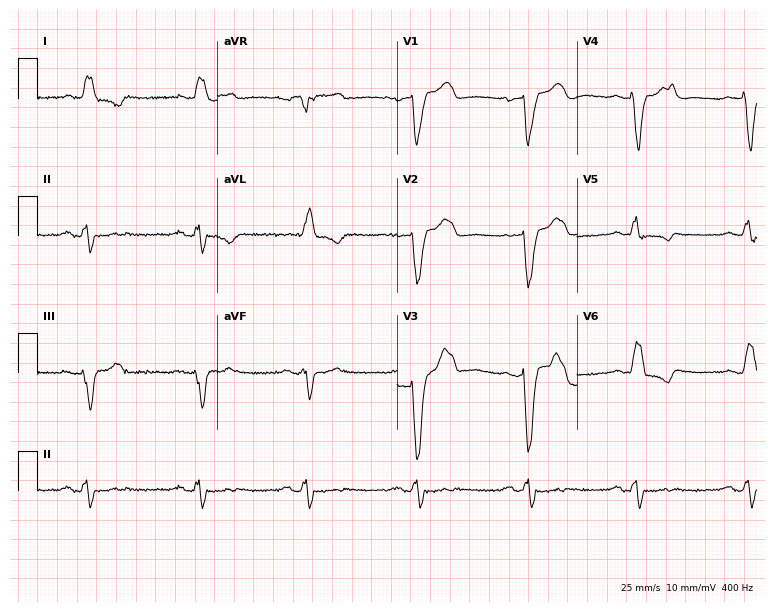
12-lead ECG from a 67-year-old male patient. Findings include left bundle branch block.